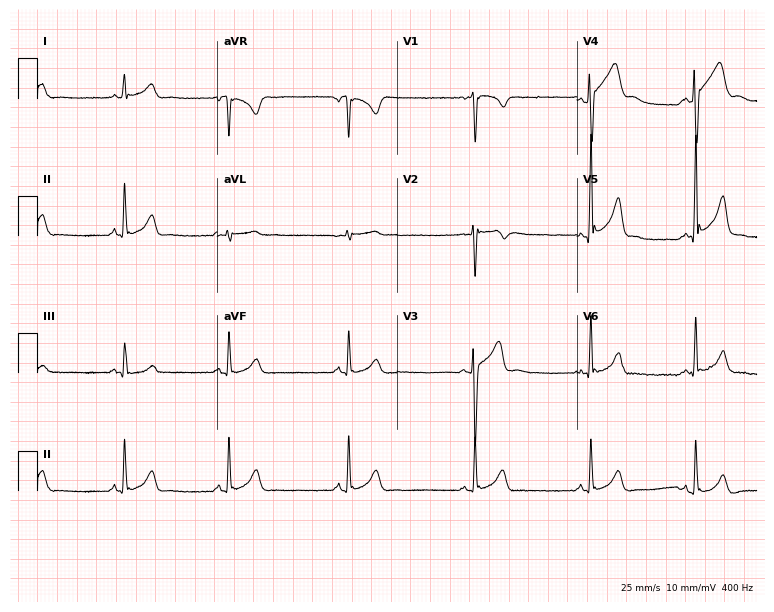
12-lead ECG (7.3-second recording at 400 Hz) from a male patient, 19 years old. Labelled as a normal ECG.